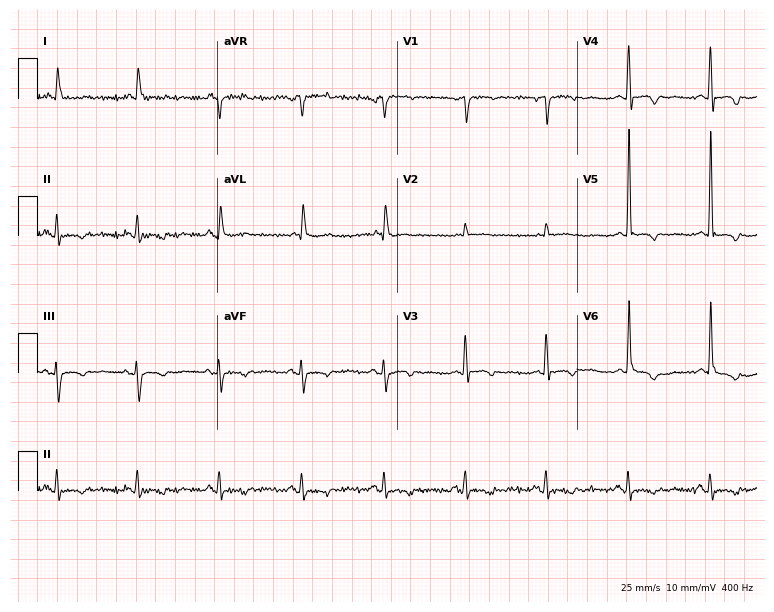
12-lead ECG (7.3-second recording at 400 Hz) from a 78-year-old female patient. Screened for six findings — first-degree AV block, right bundle branch block, left bundle branch block, sinus bradycardia, atrial fibrillation, sinus tachycardia — none is recorded.